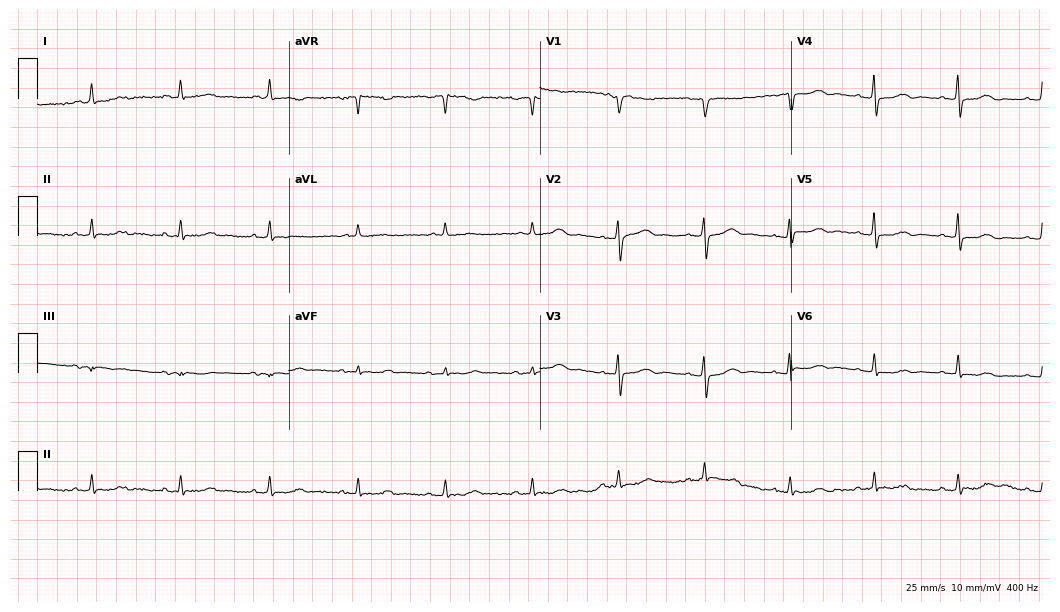
12-lead ECG from a 70-year-old female patient. Recorded interpretation: within normal limits.